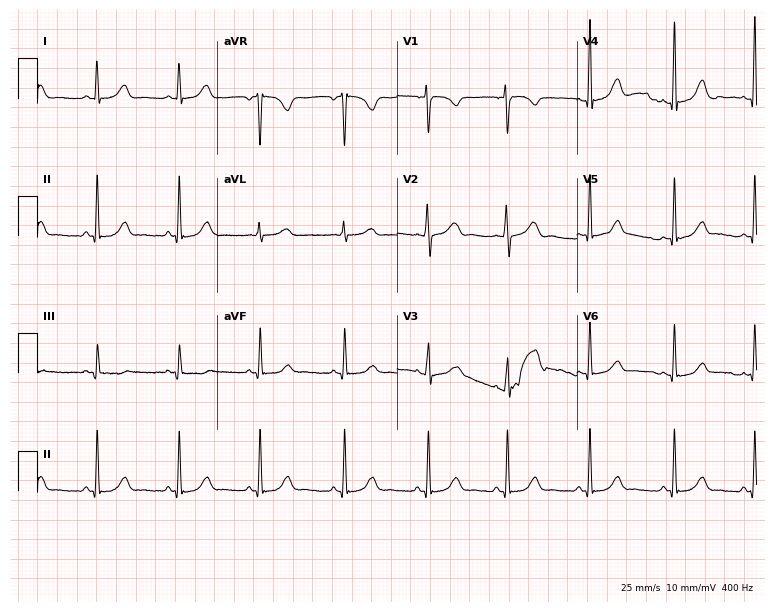
Electrocardiogram (7.3-second recording at 400 Hz), a female, 29 years old. Overall reading on record: normal ECG.